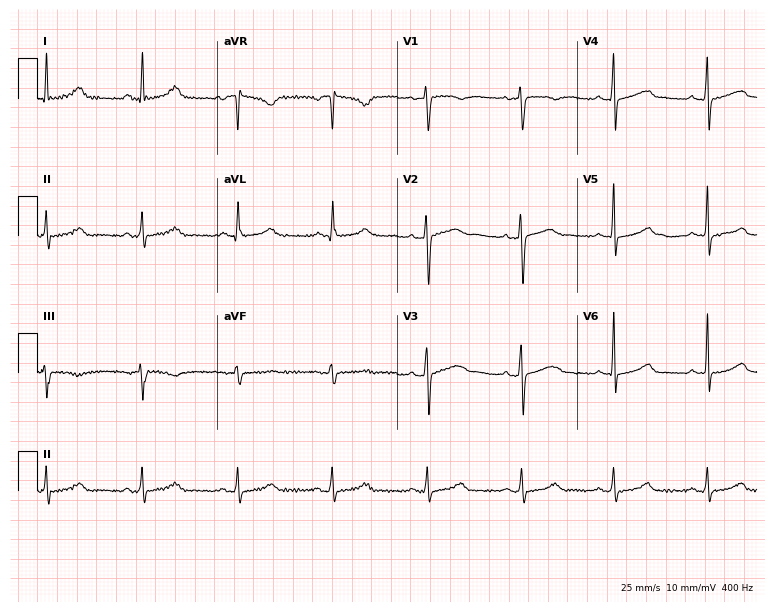
12-lead ECG from a female, 36 years old. No first-degree AV block, right bundle branch block (RBBB), left bundle branch block (LBBB), sinus bradycardia, atrial fibrillation (AF) or sinus tachycardia recorded for this tracing.